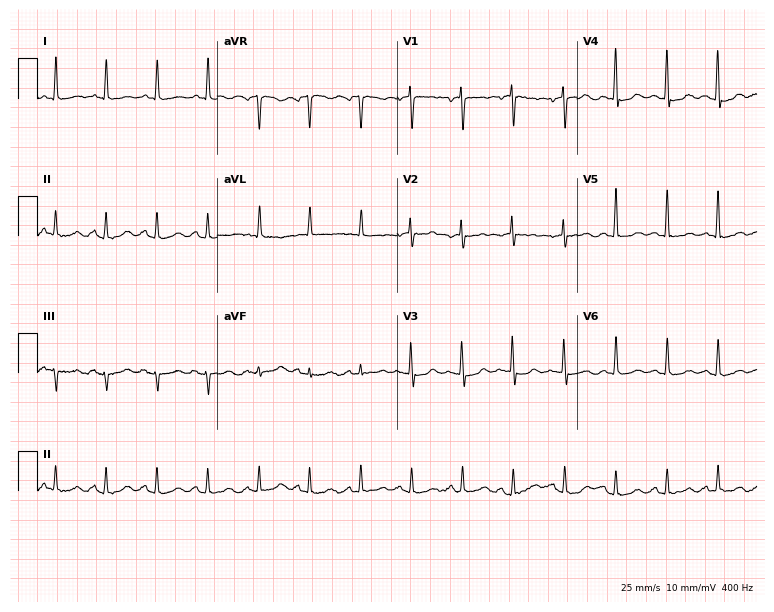
Resting 12-lead electrocardiogram. Patient: a 71-year-old female. The tracing shows sinus tachycardia (a sinus rate of 100 beats per minute or more).